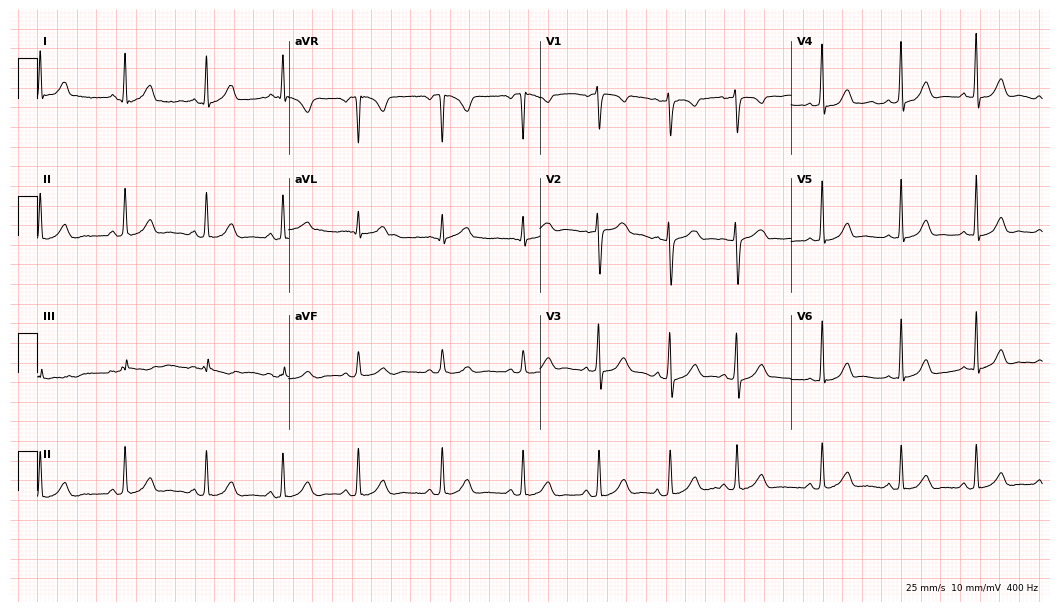
Resting 12-lead electrocardiogram. Patient: a female, 25 years old. Read as a normal ECG.